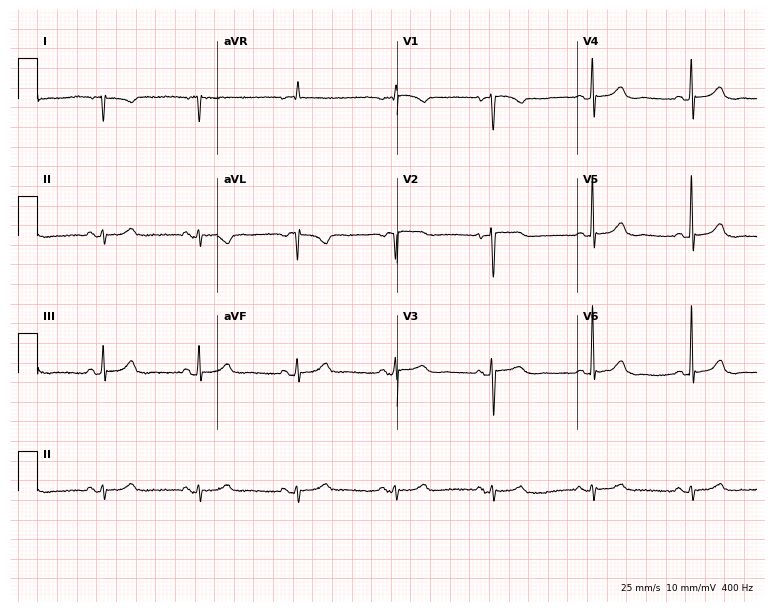
12-lead ECG from a female patient, 81 years old (7.3-second recording at 400 Hz). No first-degree AV block, right bundle branch block (RBBB), left bundle branch block (LBBB), sinus bradycardia, atrial fibrillation (AF) or sinus tachycardia recorded for this tracing.